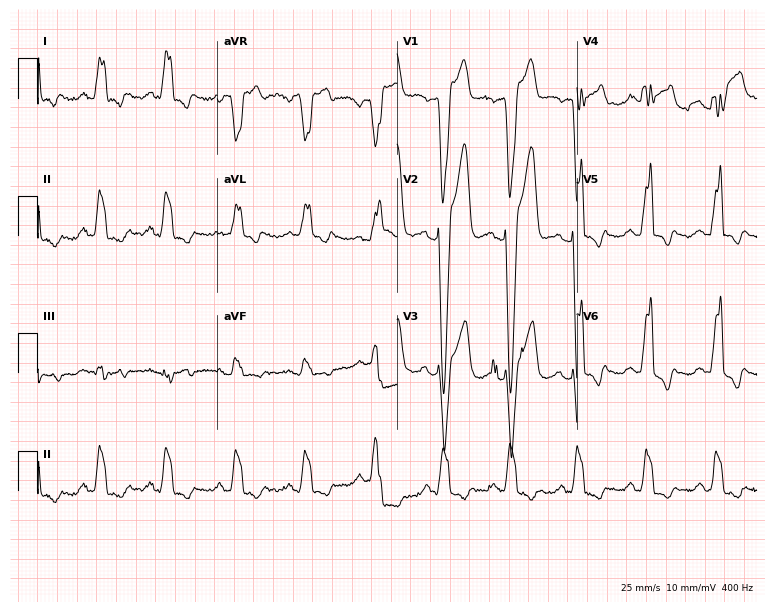
Standard 12-lead ECG recorded from a 46-year-old man. The tracing shows left bundle branch block.